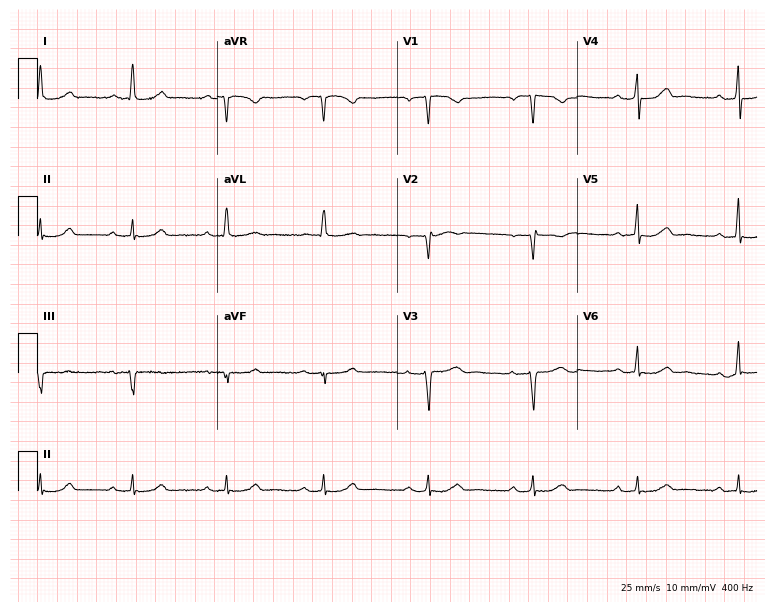
ECG (7.3-second recording at 400 Hz) — a 57-year-old female patient. Screened for six findings — first-degree AV block, right bundle branch block, left bundle branch block, sinus bradycardia, atrial fibrillation, sinus tachycardia — none is recorded. Findings outside these six are not listed.